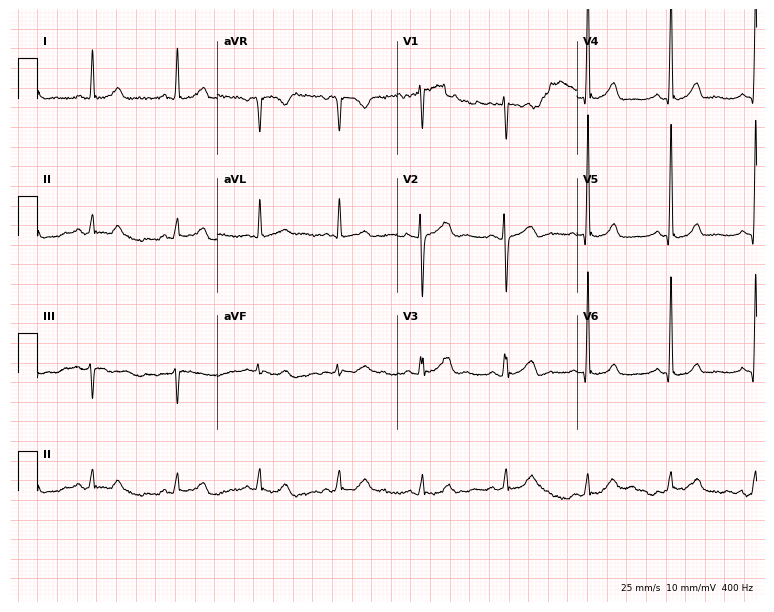
Resting 12-lead electrocardiogram (7.3-second recording at 400 Hz). Patient: a female, 37 years old. None of these six findings is recorded: first-degree AV block, right bundle branch block, left bundle branch block, sinus bradycardia, atrial fibrillation, sinus tachycardia.